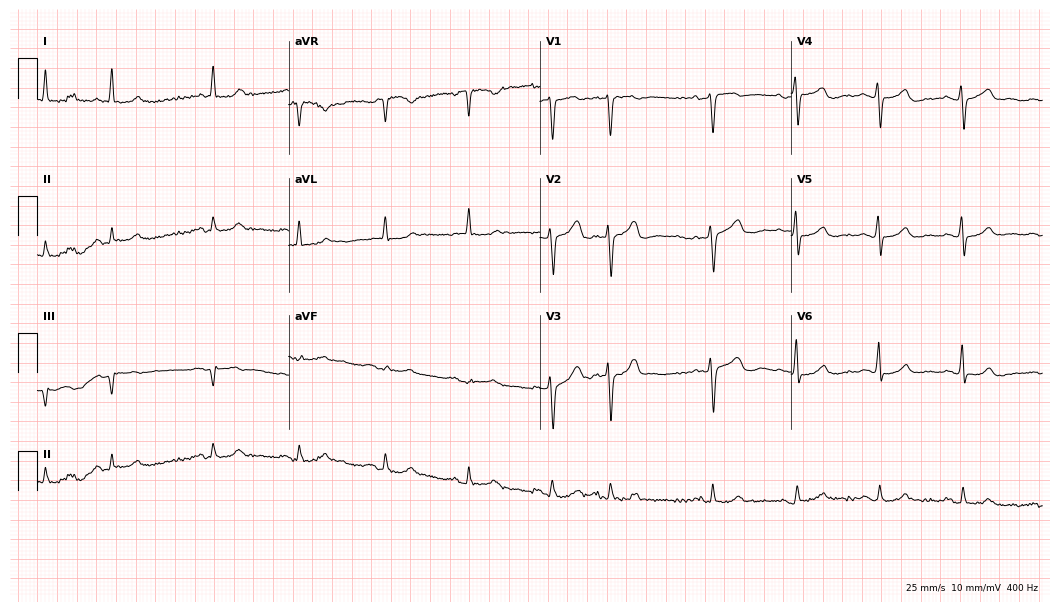
Standard 12-lead ECG recorded from a male, 83 years old. Read as a normal ECG.